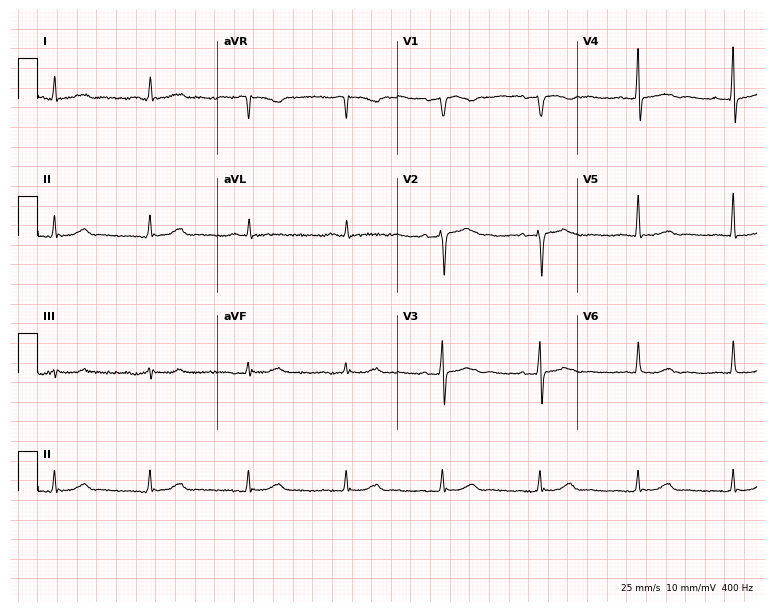
12-lead ECG (7.3-second recording at 400 Hz) from a female, 52 years old. Labelled as a normal ECG.